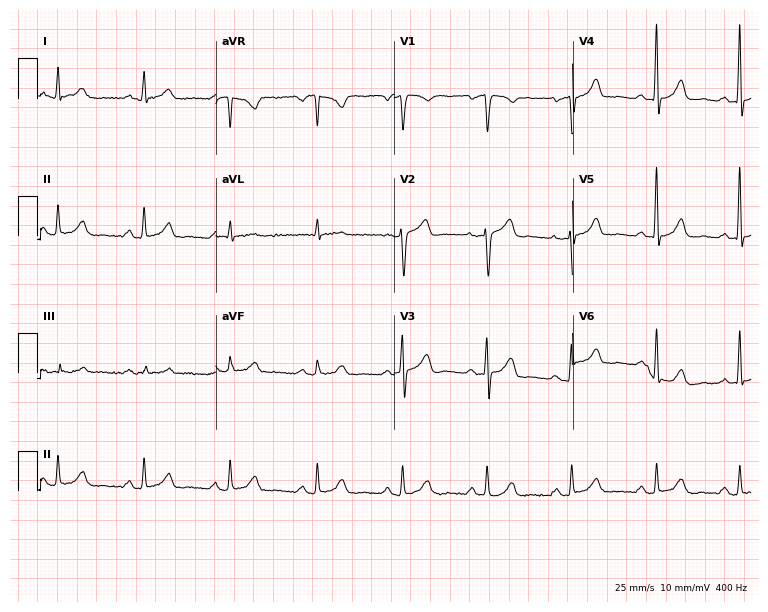
12-lead ECG from a 63-year-old man. Screened for six findings — first-degree AV block, right bundle branch block, left bundle branch block, sinus bradycardia, atrial fibrillation, sinus tachycardia — none is recorded.